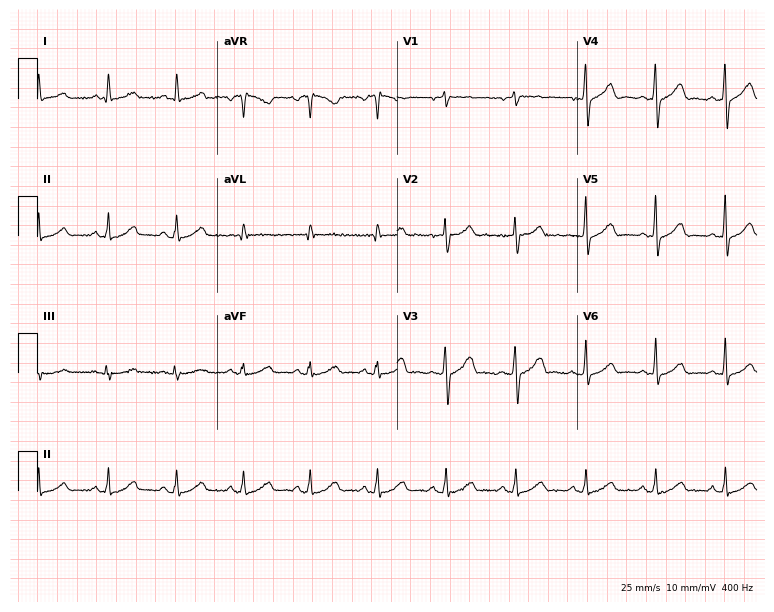
ECG — a 57-year-old male patient. Labelled as a normal ECG.